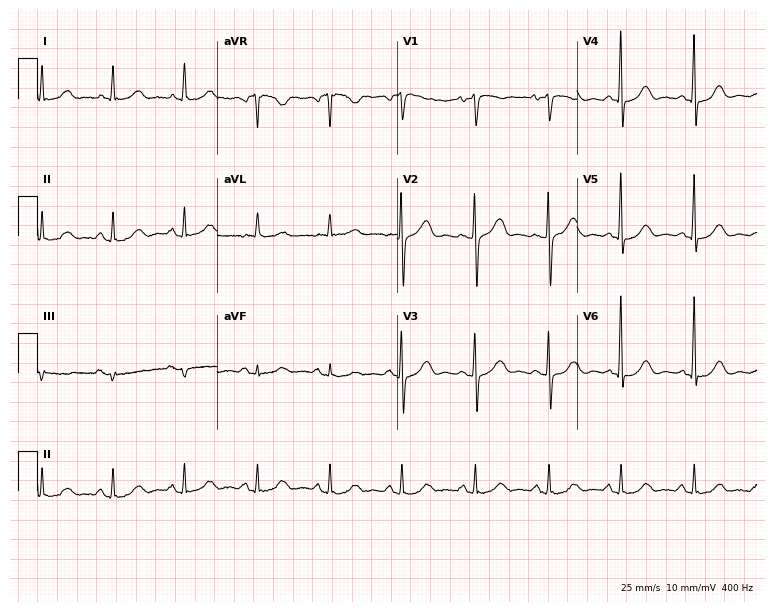
Resting 12-lead electrocardiogram. Patient: a female, 57 years old. None of these six findings is recorded: first-degree AV block, right bundle branch block, left bundle branch block, sinus bradycardia, atrial fibrillation, sinus tachycardia. Findings outside these six are not listed.